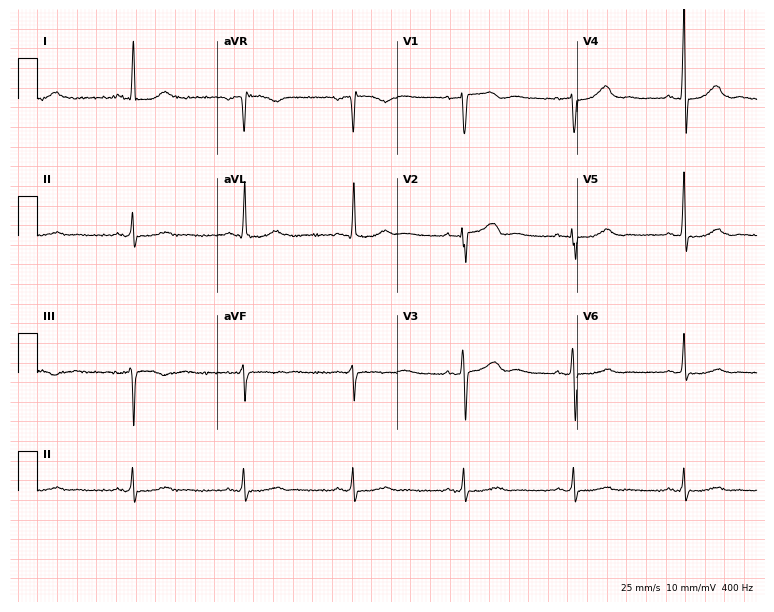
Electrocardiogram, a 69-year-old female. Overall reading on record: normal ECG.